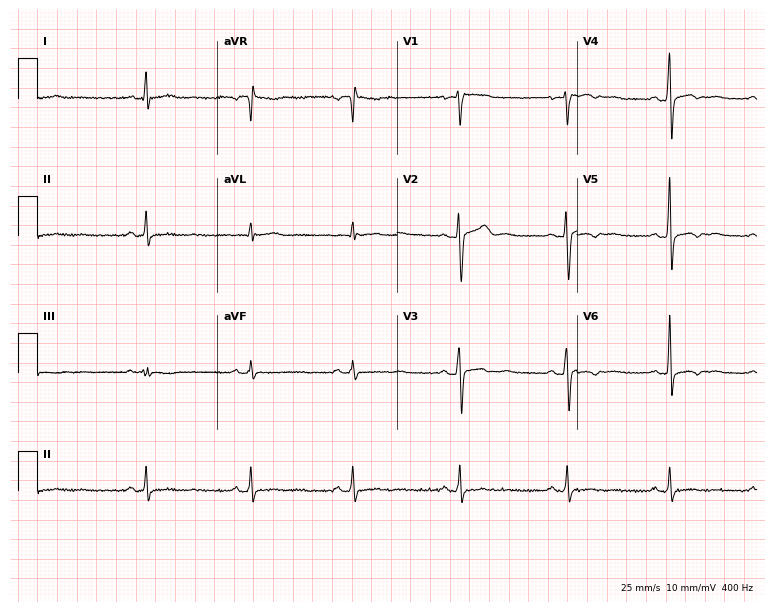
Electrocardiogram, a 33-year-old male patient. Of the six screened findings (first-degree AV block, right bundle branch block, left bundle branch block, sinus bradycardia, atrial fibrillation, sinus tachycardia), none is recorded. Other findings, if any, are not listed.